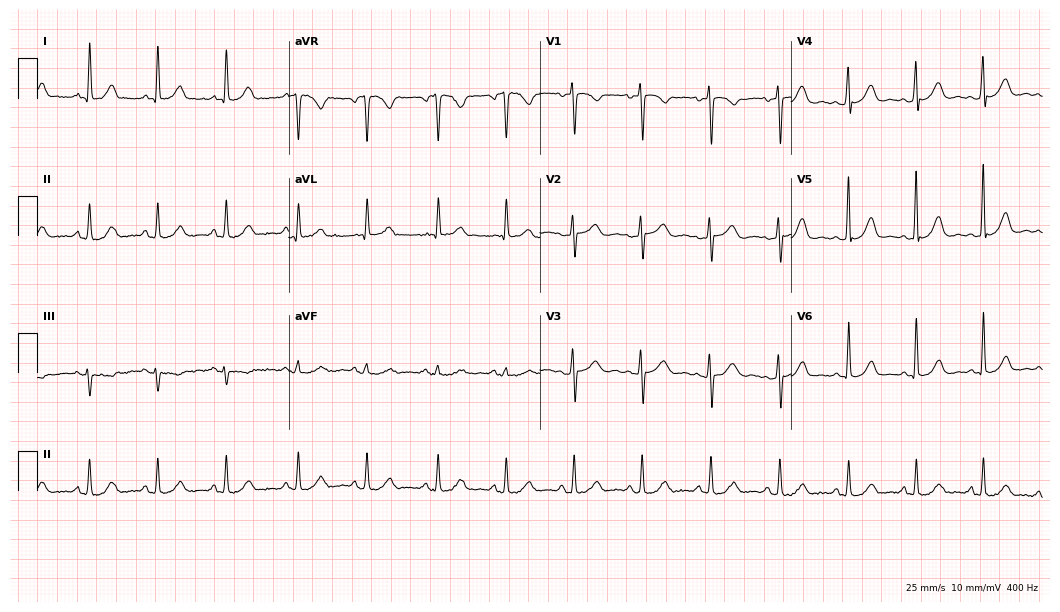
ECG — a 59-year-old female. Screened for six findings — first-degree AV block, right bundle branch block, left bundle branch block, sinus bradycardia, atrial fibrillation, sinus tachycardia — none is recorded.